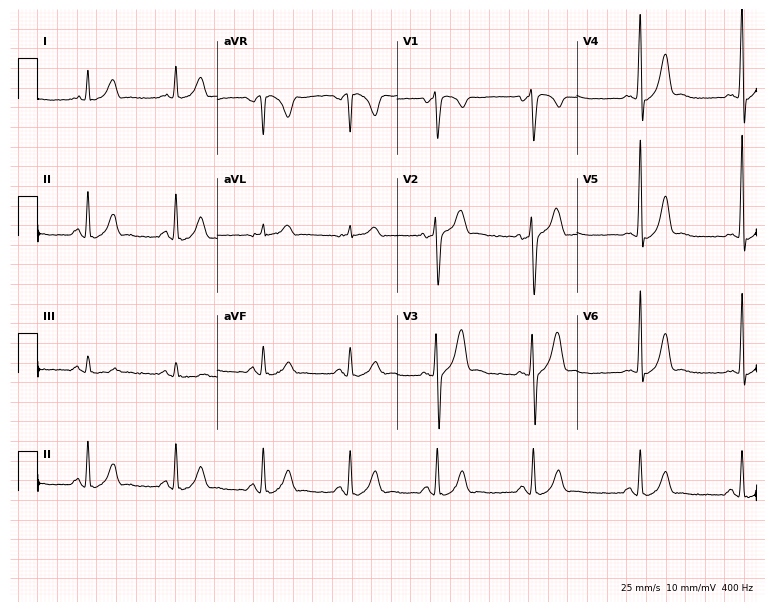
12-lead ECG from a male, 24 years old (7.3-second recording at 400 Hz). No first-degree AV block, right bundle branch block (RBBB), left bundle branch block (LBBB), sinus bradycardia, atrial fibrillation (AF) or sinus tachycardia recorded for this tracing. Findings outside these six are not listed.